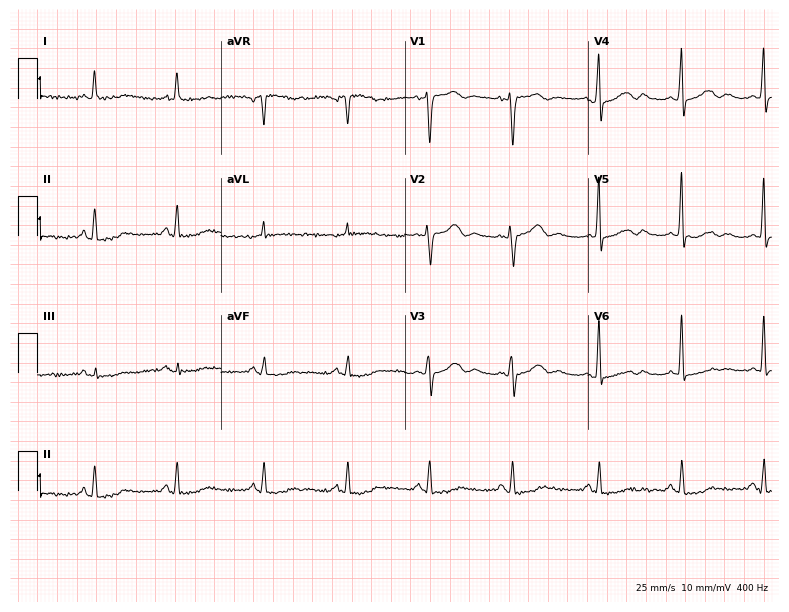
Standard 12-lead ECG recorded from a 51-year-old female. None of these six findings is recorded: first-degree AV block, right bundle branch block, left bundle branch block, sinus bradycardia, atrial fibrillation, sinus tachycardia. Only these six findings were labelled.